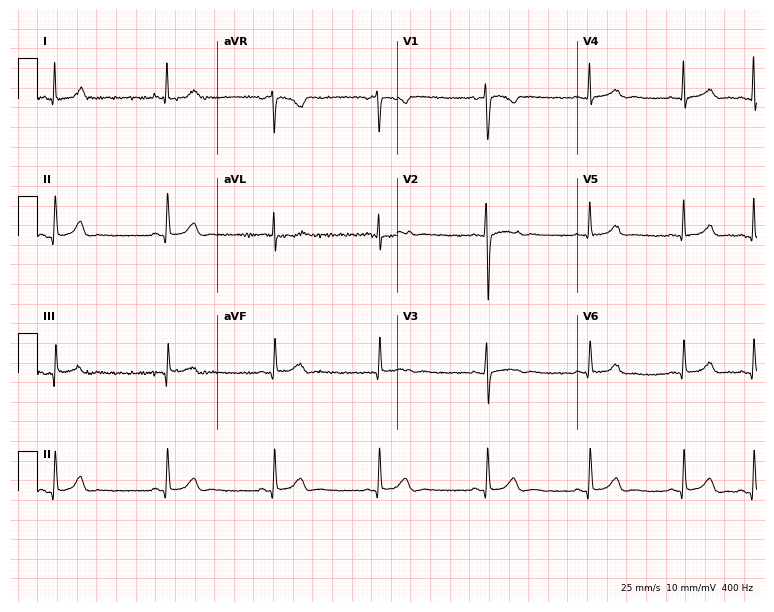
Electrocardiogram (7.3-second recording at 400 Hz), a female patient, 19 years old. Overall reading on record: normal ECG.